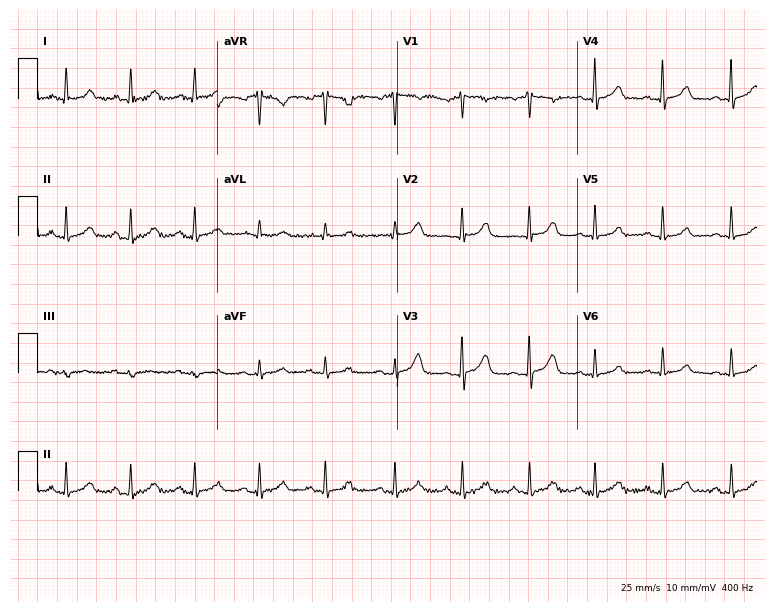
ECG — a 56-year-old female. Screened for six findings — first-degree AV block, right bundle branch block (RBBB), left bundle branch block (LBBB), sinus bradycardia, atrial fibrillation (AF), sinus tachycardia — none is recorded. Findings outside these six are not listed.